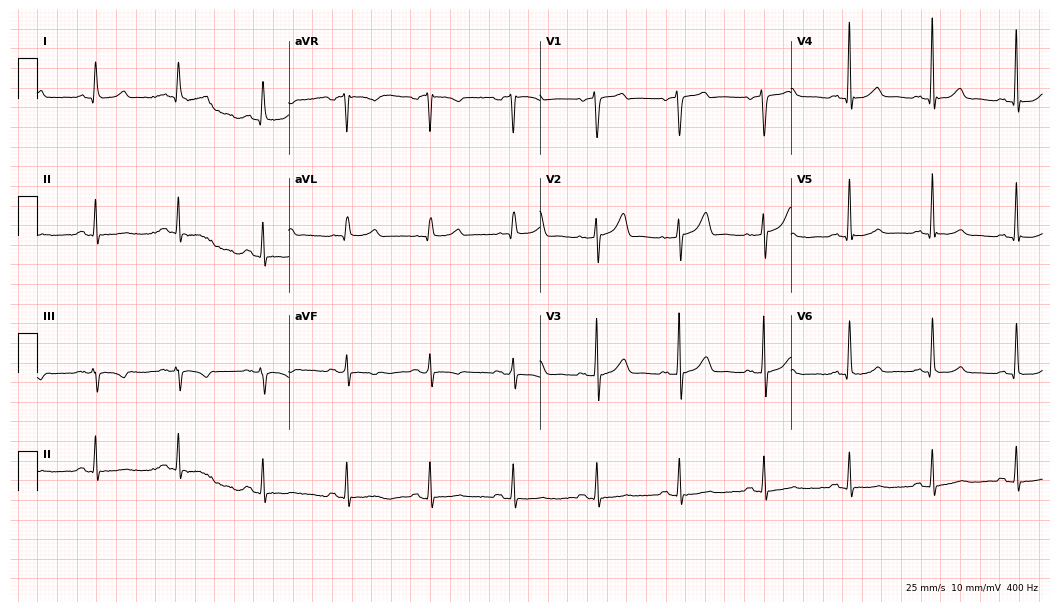
ECG — a 68-year-old man. Screened for six findings — first-degree AV block, right bundle branch block, left bundle branch block, sinus bradycardia, atrial fibrillation, sinus tachycardia — none is recorded.